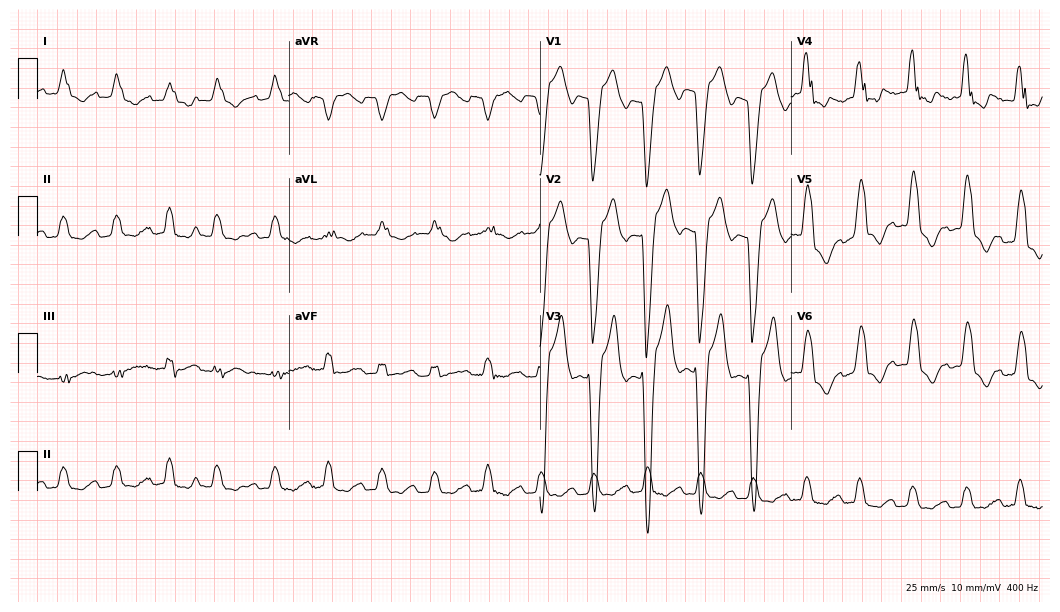
12-lead ECG from a 65-year-old man. Screened for six findings — first-degree AV block, right bundle branch block, left bundle branch block, sinus bradycardia, atrial fibrillation, sinus tachycardia — none is recorded.